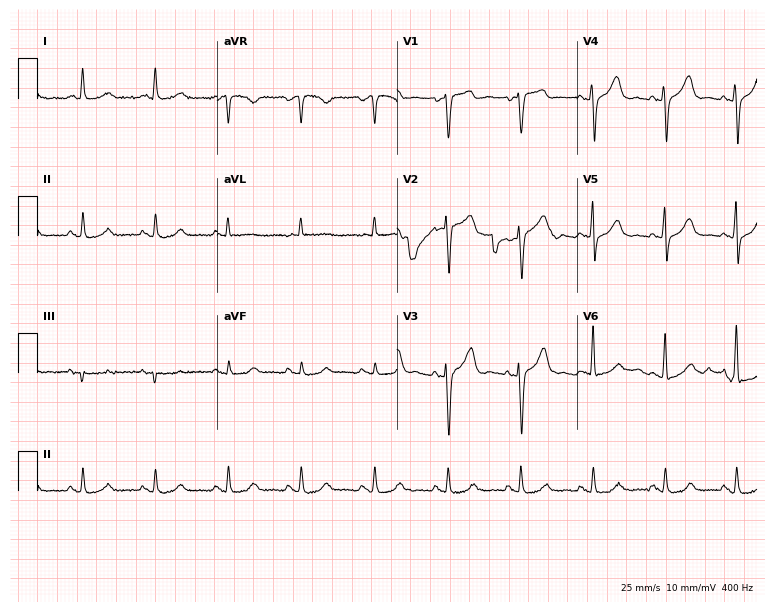
12-lead ECG from a male, 60 years old. Labelled as a normal ECG.